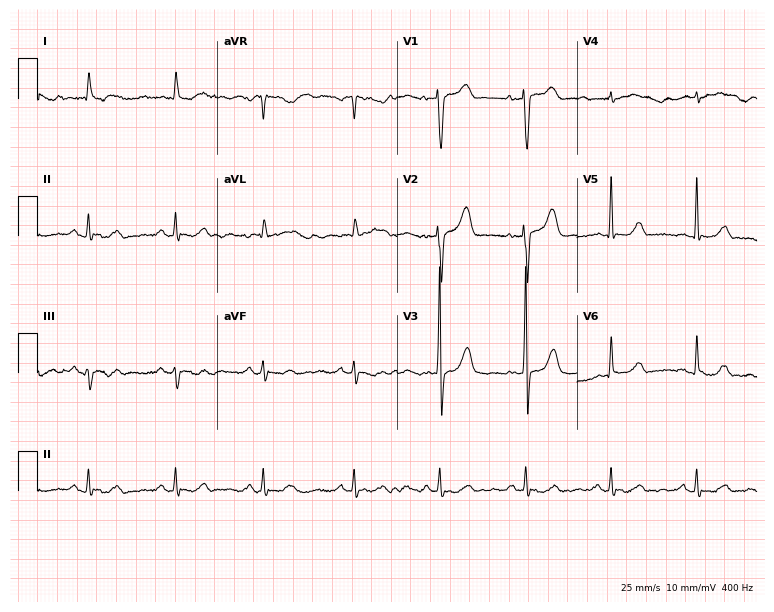
ECG — a 50-year-old female patient. Screened for six findings — first-degree AV block, right bundle branch block, left bundle branch block, sinus bradycardia, atrial fibrillation, sinus tachycardia — none is recorded. Findings outside these six are not listed.